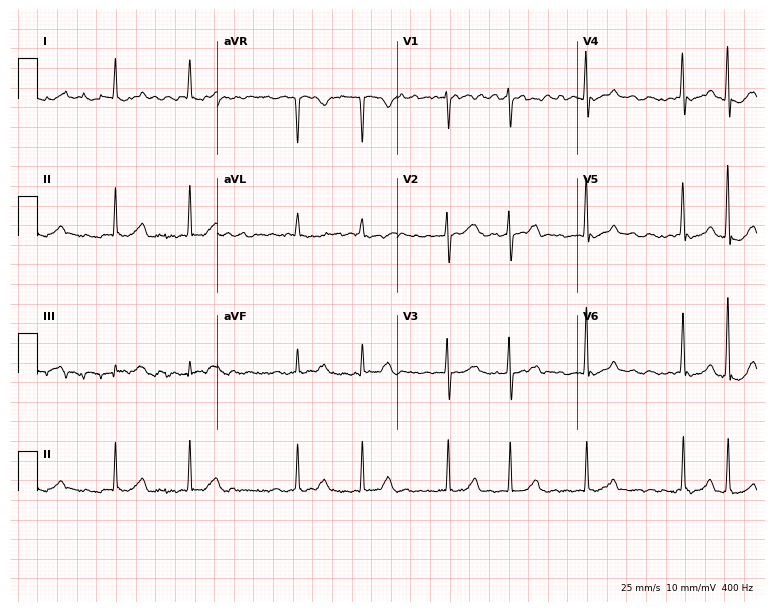
Standard 12-lead ECG recorded from a 65-year-old female patient. The tracing shows atrial fibrillation.